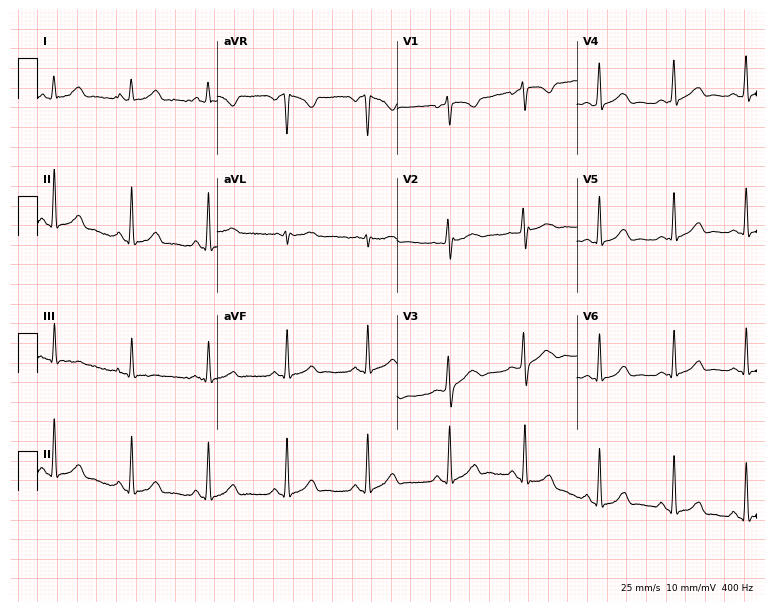
Resting 12-lead electrocardiogram (7.3-second recording at 400 Hz). Patient: a woman, 22 years old. None of these six findings is recorded: first-degree AV block, right bundle branch block, left bundle branch block, sinus bradycardia, atrial fibrillation, sinus tachycardia. Other findings, if any, are not listed.